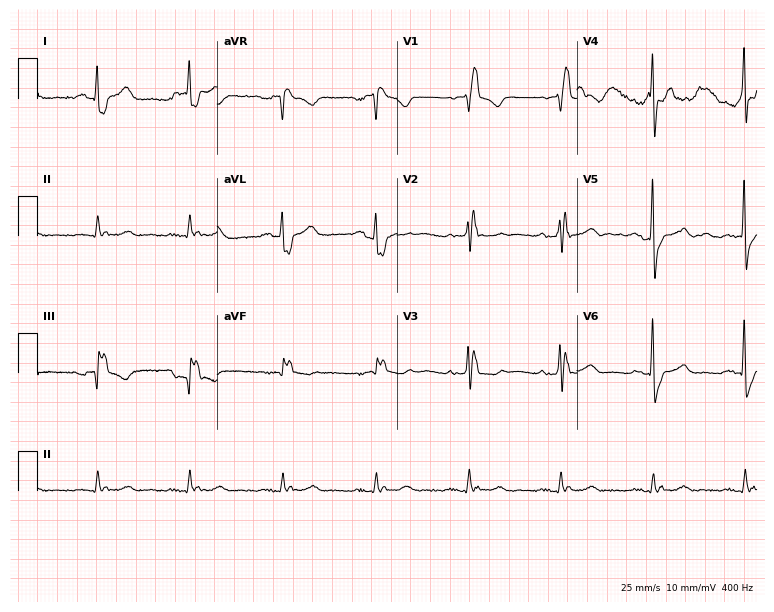
Electrocardiogram (7.3-second recording at 400 Hz), a 78-year-old man. Interpretation includes right bundle branch block (RBBB).